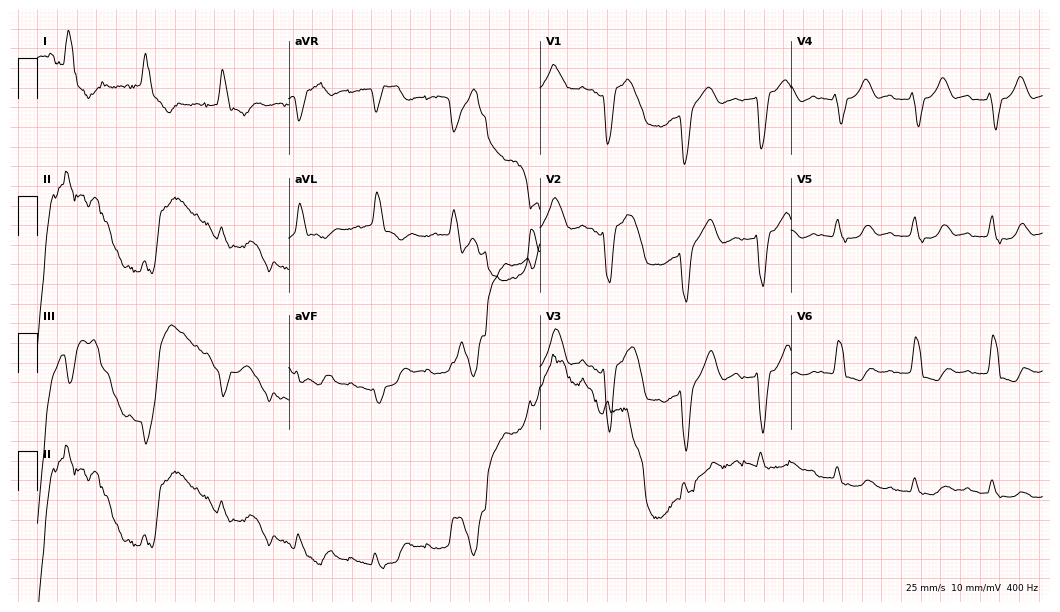
Standard 12-lead ECG recorded from an 85-year-old male. The tracing shows first-degree AV block, left bundle branch block (LBBB).